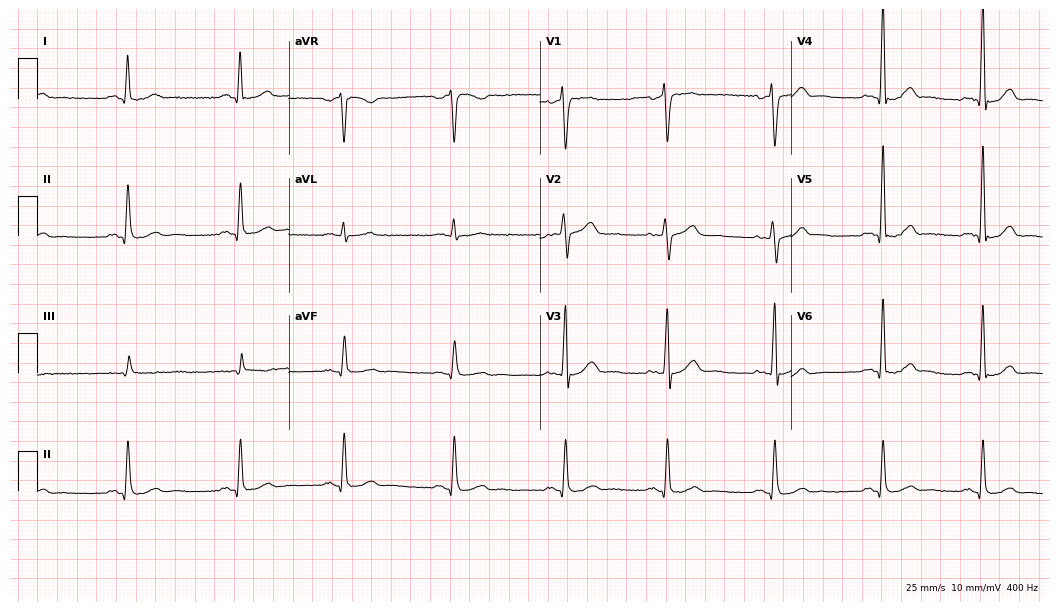
Standard 12-lead ECG recorded from a 48-year-old male patient. None of these six findings is recorded: first-degree AV block, right bundle branch block, left bundle branch block, sinus bradycardia, atrial fibrillation, sinus tachycardia.